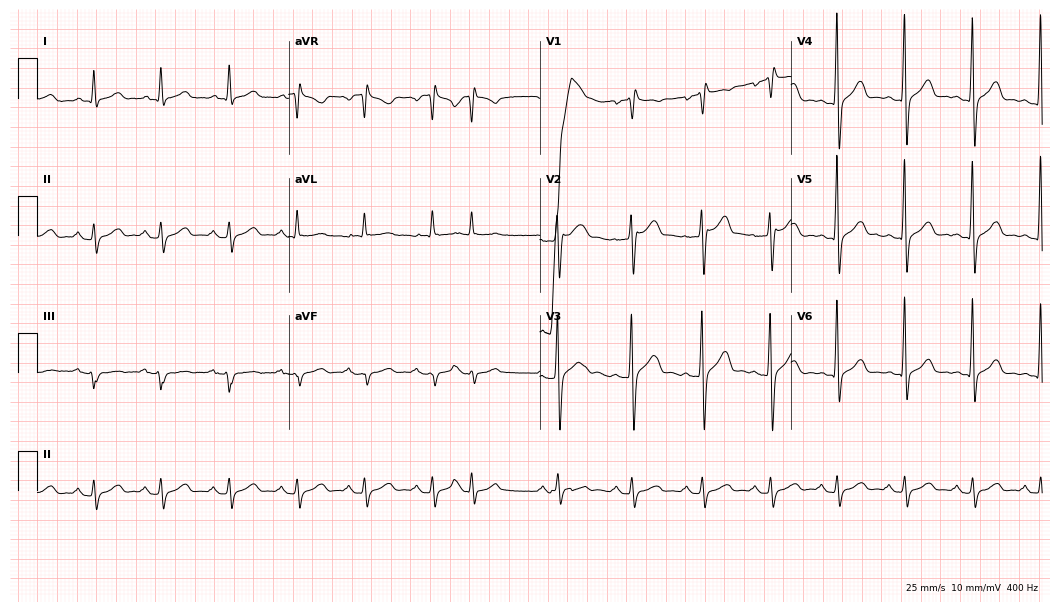
ECG (10.2-second recording at 400 Hz) — a 60-year-old man. Screened for six findings — first-degree AV block, right bundle branch block, left bundle branch block, sinus bradycardia, atrial fibrillation, sinus tachycardia — none is recorded.